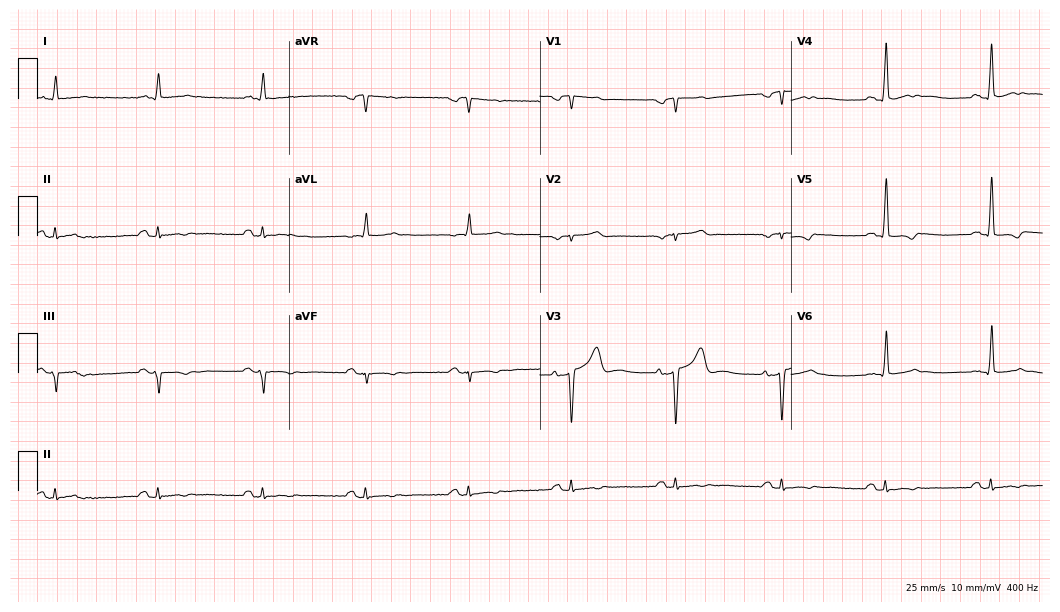
12-lead ECG from a male patient, 53 years old. No first-degree AV block, right bundle branch block, left bundle branch block, sinus bradycardia, atrial fibrillation or sinus tachycardia recorded for this tracing.